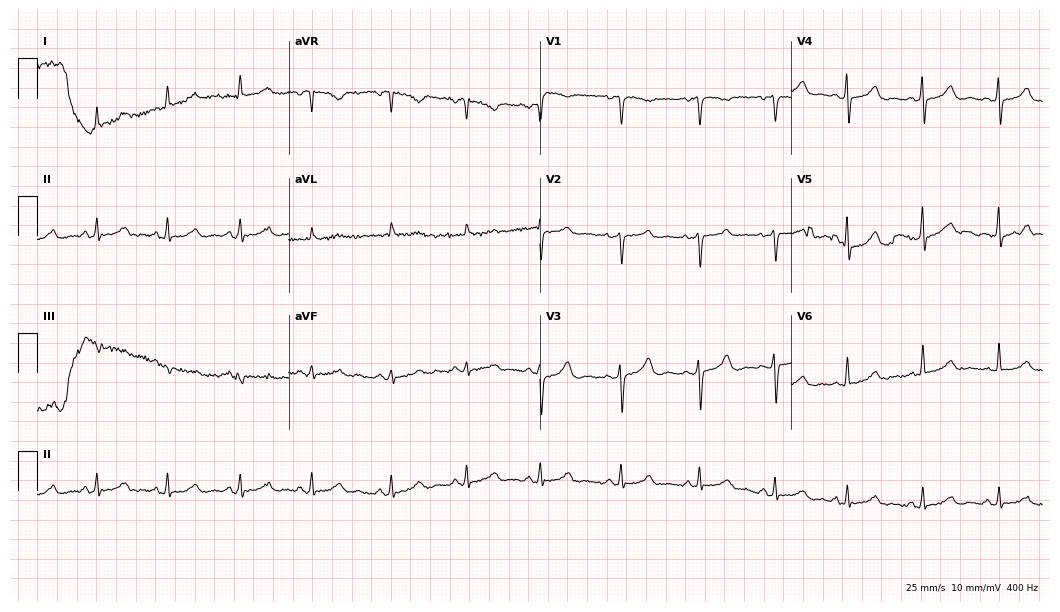
Electrocardiogram, a 35-year-old woman. Overall reading on record: normal ECG.